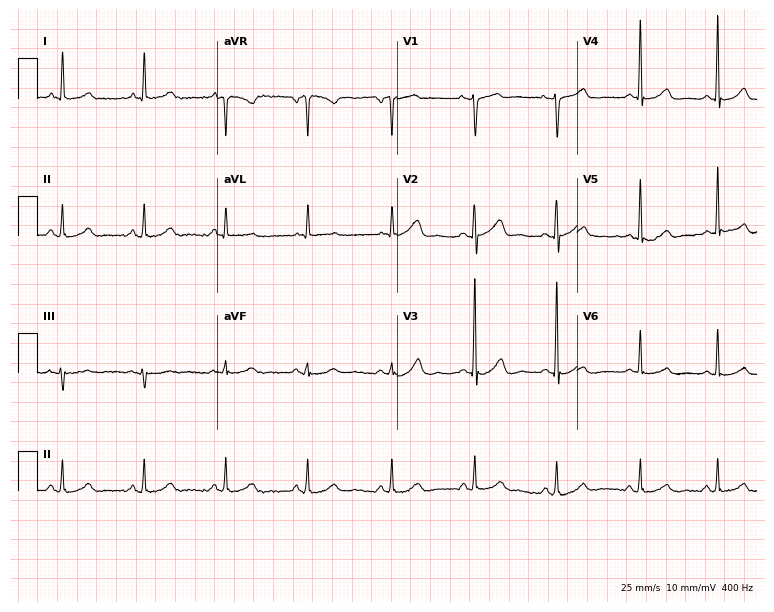
12-lead ECG (7.3-second recording at 400 Hz) from a 55-year-old woman. Screened for six findings — first-degree AV block, right bundle branch block, left bundle branch block, sinus bradycardia, atrial fibrillation, sinus tachycardia — none is recorded. Only these six findings were labelled.